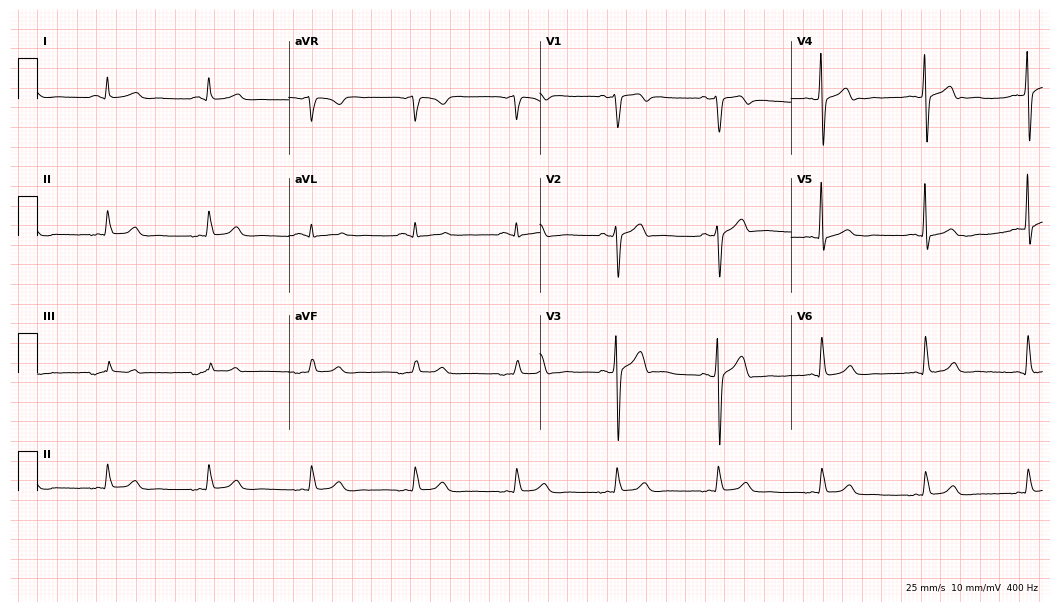
Electrocardiogram, a 49-year-old male patient. Overall reading on record: normal ECG.